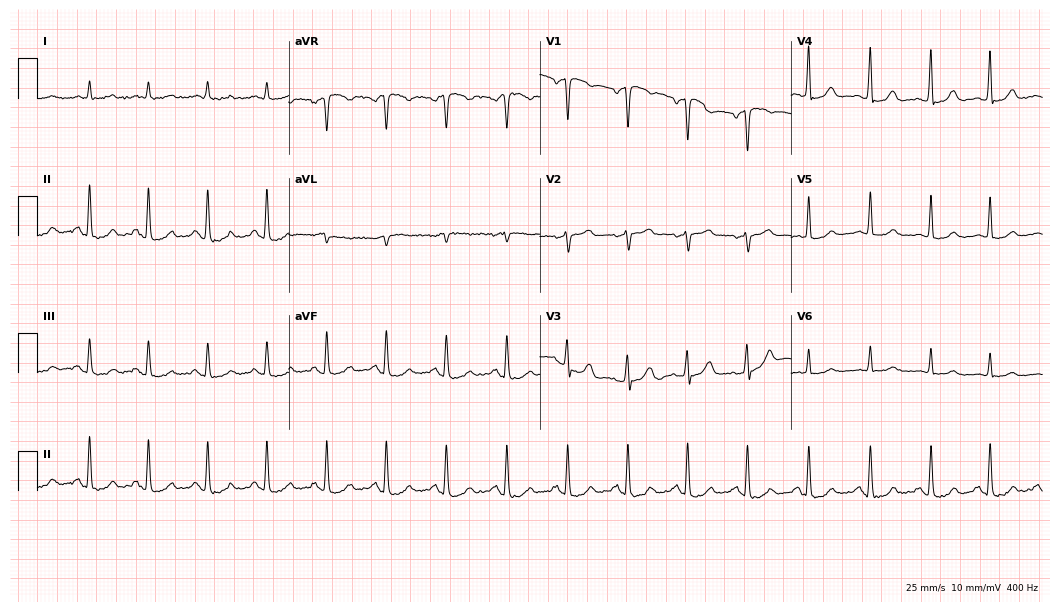
Electrocardiogram, a male patient, 84 years old. Of the six screened findings (first-degree AV block, right bundle branch block, left bundle branch block, sinus bradycardia, atrial fibrillation, sinus tachycardia), none is recorded. Only these six findings were labelled.